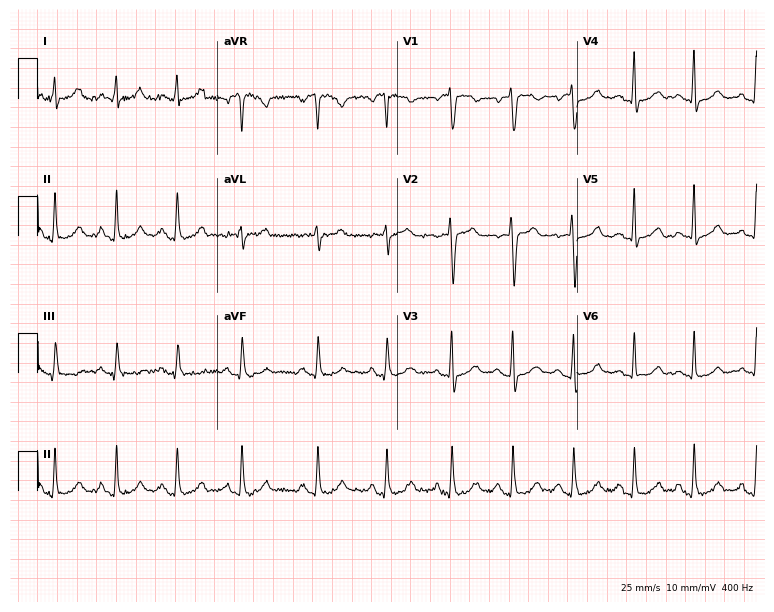
12-lead ECG (7.3-second recording at 400 Hz) from a woman, 24 years old. Labelled as a normal ECG.